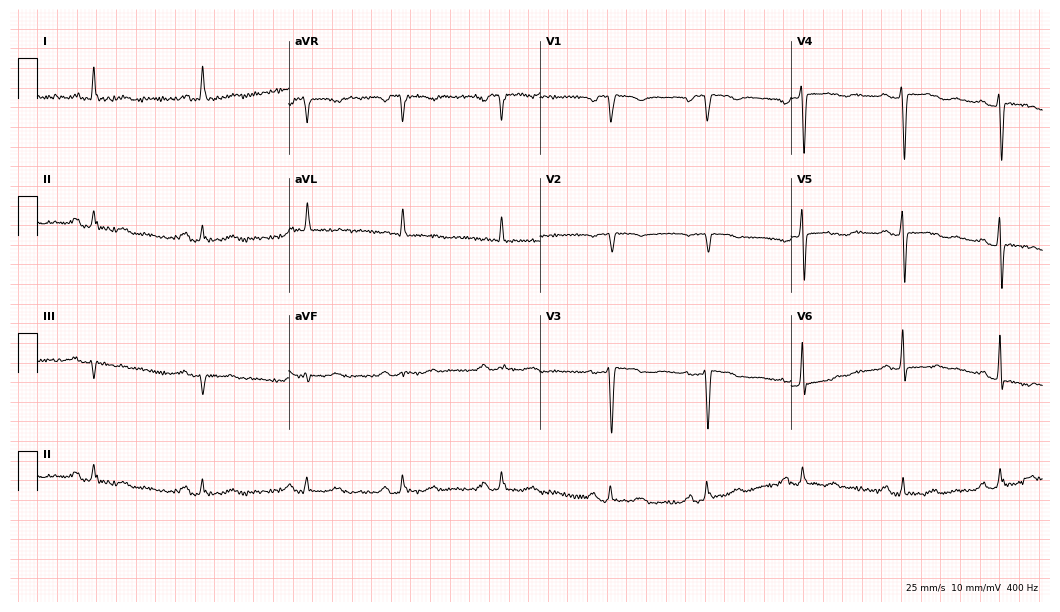
12-lead ECG from a female, 64 years old. Screened for six findings — first-degree AV block, right bundle branch block, left bundle branch block, sinus bradycardia, atrial fibrillation, sinus tachycardia — none is recorded. Other findings, if any, are not listed.